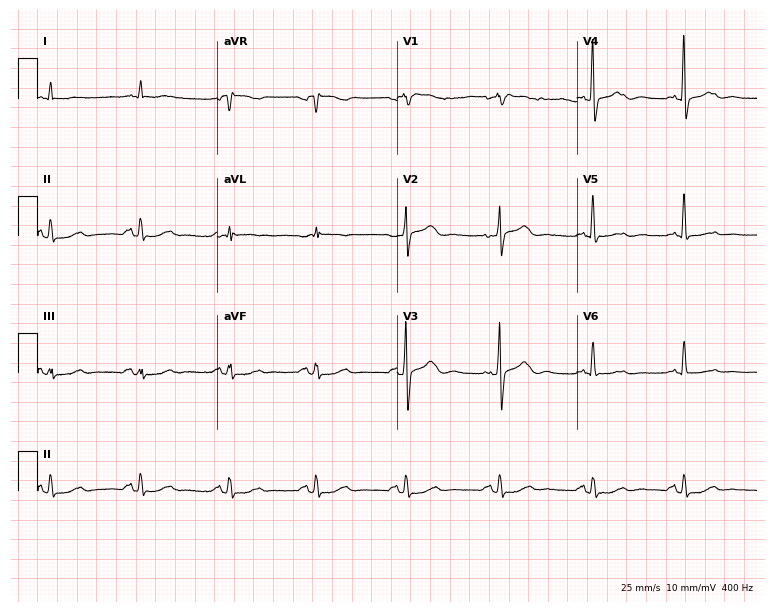
Resting 12-lead electrocardiogram. Patient: a female, 76 years old. Read as a normal ECG.